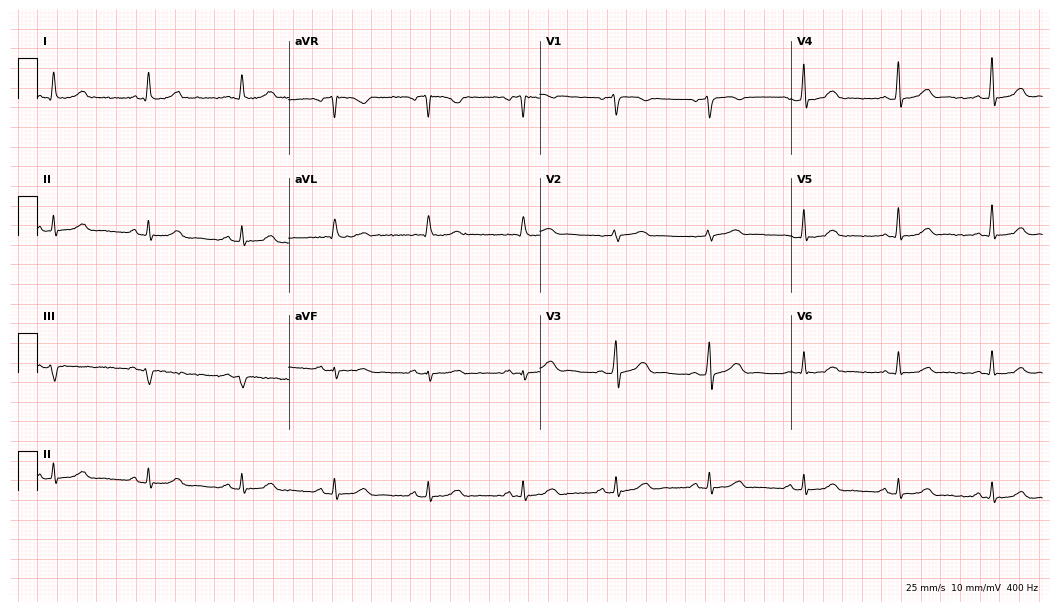
12-lead ECG from a 54-year-old woman. No first-degree AV block, right bundle branch block (RBBB), left bundle branch block (LBBB), sinus bradycardia, atrial fibrillation (AF) or sinus tachycardia recorded for this tracing. Findings outside these six are not listed.